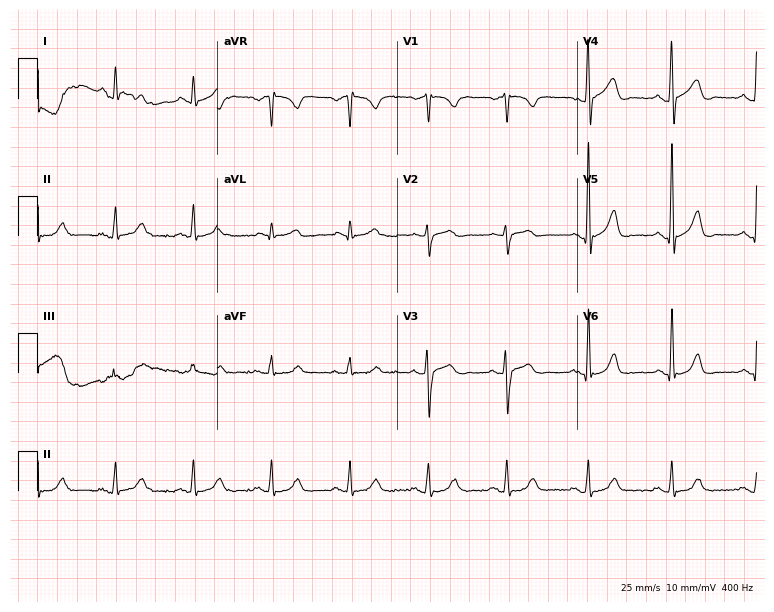
Electrocardiogram, a 51-year-old male. Overall reading on record: normal ECG.